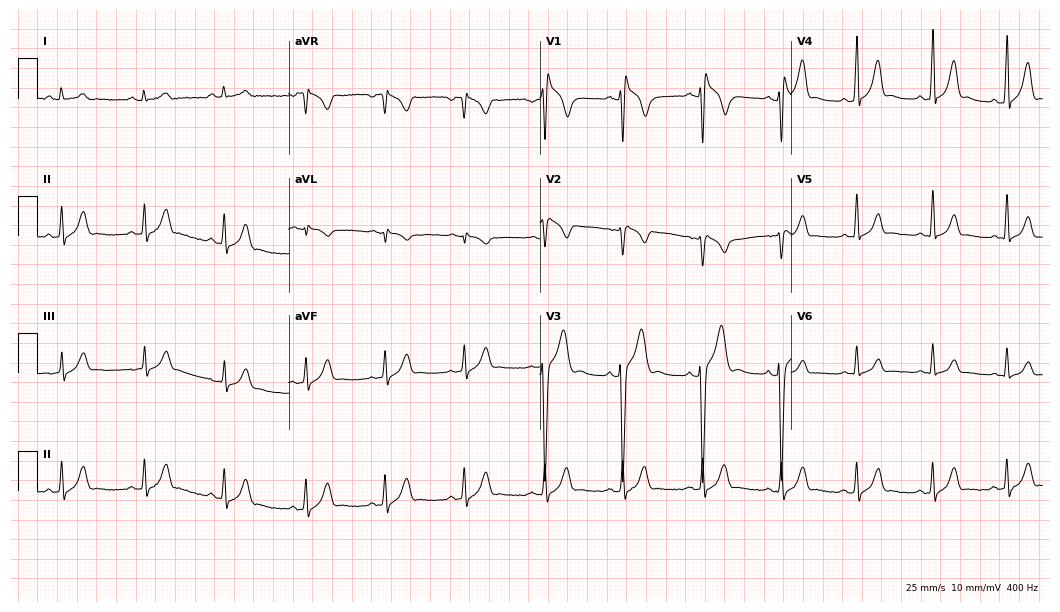
12-lead ECG (10.2-second recording at 400 Hz) from a male, 22 years old. Screened for six findings — first-degree AV block, right bundle branch block, left bundle branch block, sinus bradycardia, atrial fibrillation, sinus tachycardia — none is recorded.